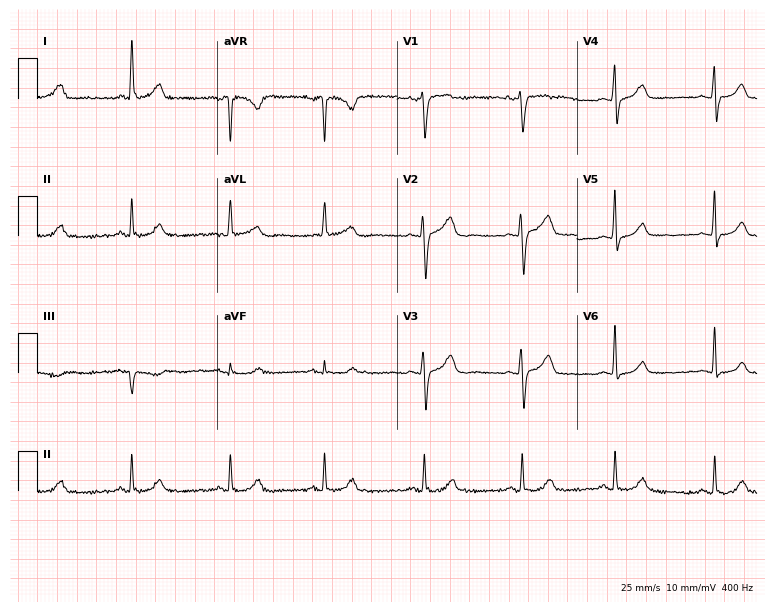
Standard 12-lead ECG recorded from a 44-year-old female. None of these six findings is recorded: first-degree AV block, right bundle branch block, left bundle branch block, sinus bradycardia, atrial fibrillation, sinus tachycardia. Findings outside these six are not listed.